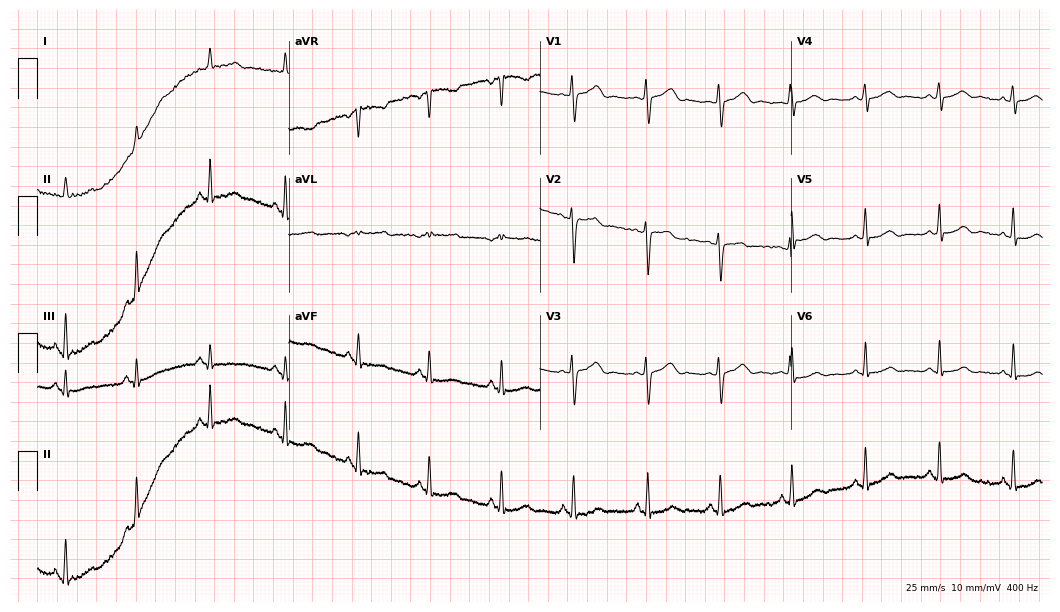
Resting 12-lead electrocardiogram. Patient: a 41-year-old woman. Read as a normal ECG.